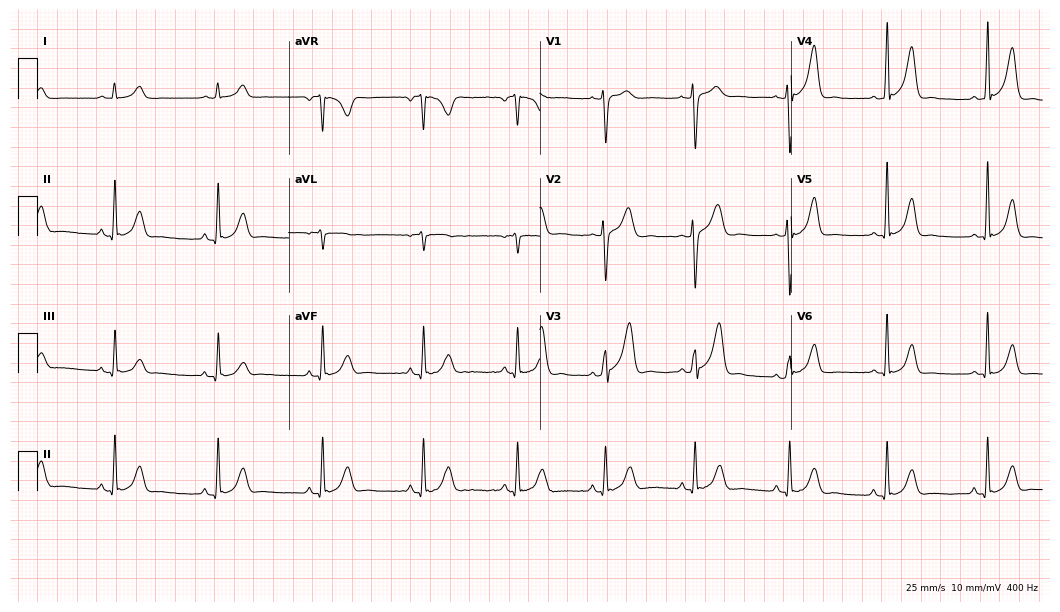
Resting 12-lead electrocardiogram. Patient: a man, 47 years old. Read as a normal ECG.